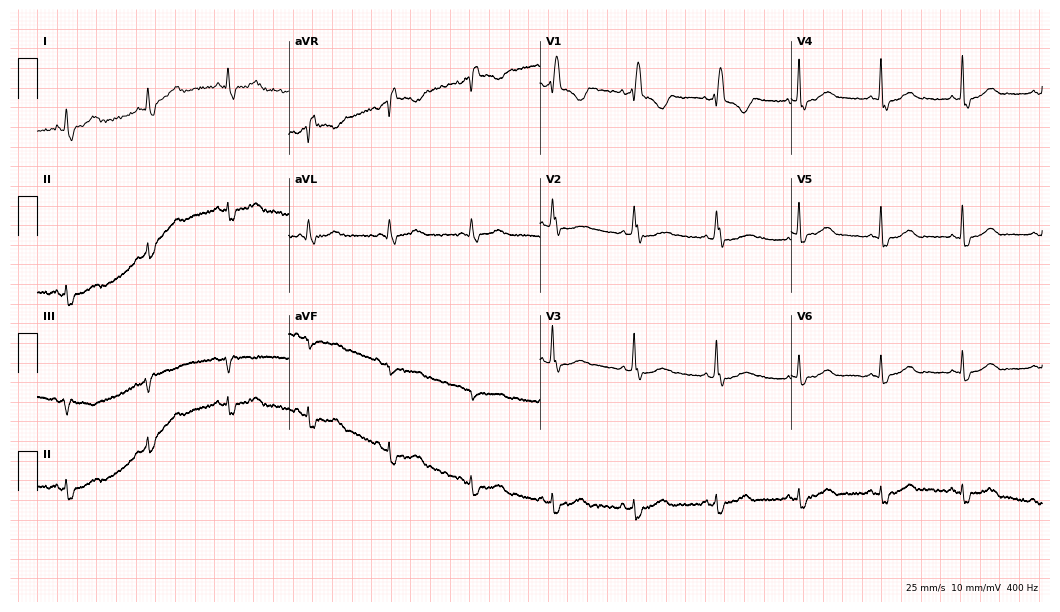
Standard 12-lead ECG recorded from a female, 44 years old. None of these six findings is recorded: first-degree AV block, right bundle branch block, left bundle branch block, sinus bradycardia, atrial fibrillation, sinus tachycardia. Other findings, if any, are not listed.